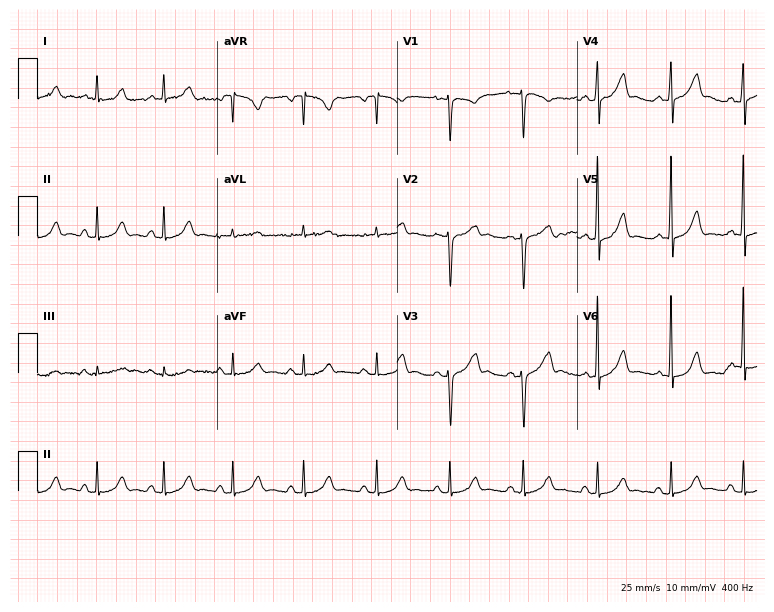
Electrocardiogram, a woman, 49 years old. Of the six screened findings (first-degree AV block, right bundle branch block, left bundle branch block, sinus bradycardia, atrial fibrillation, sinus tachycardia), none is recorded.